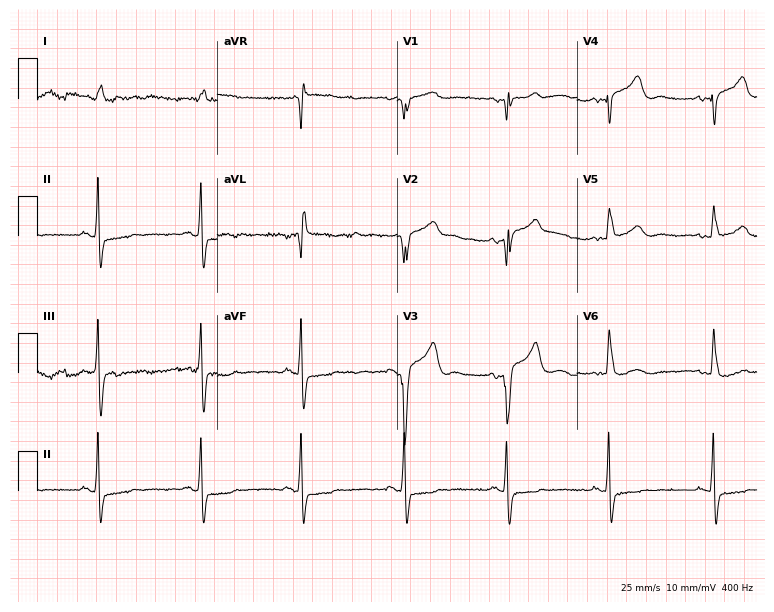
Standard 12-lead ECG recorded from a 70-year-old male. None of these six findings is recorded: first-degree AV block, right bundle branch block, left bundle branch block, sinus bradycardia, atrial fibrillation, sinus tachycardia. Findings outside these six are not listed.